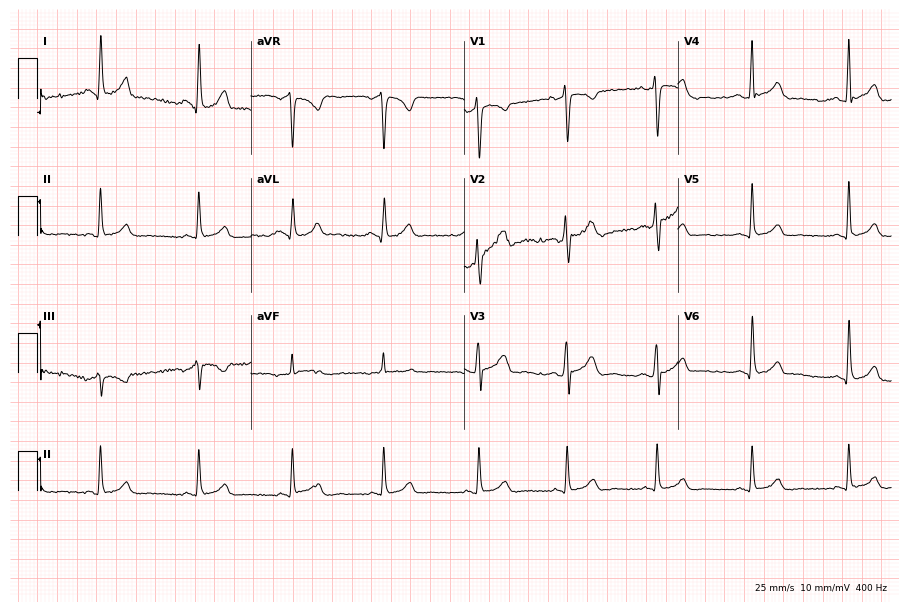
Electrocardiogram, a woman, 24 years old. Overall reading on record: normal ECG.